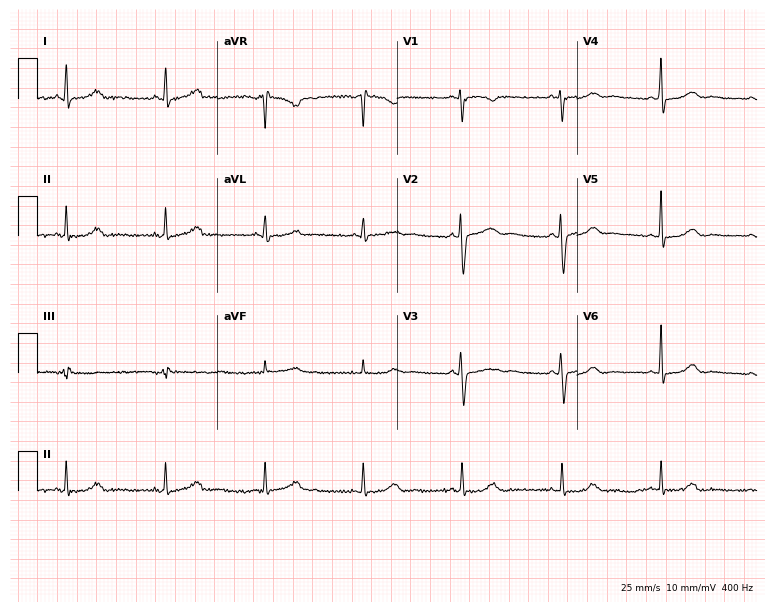
Standard 12-lead ECG recorded from a female patient, 40 years old. Read as a normal ECG.